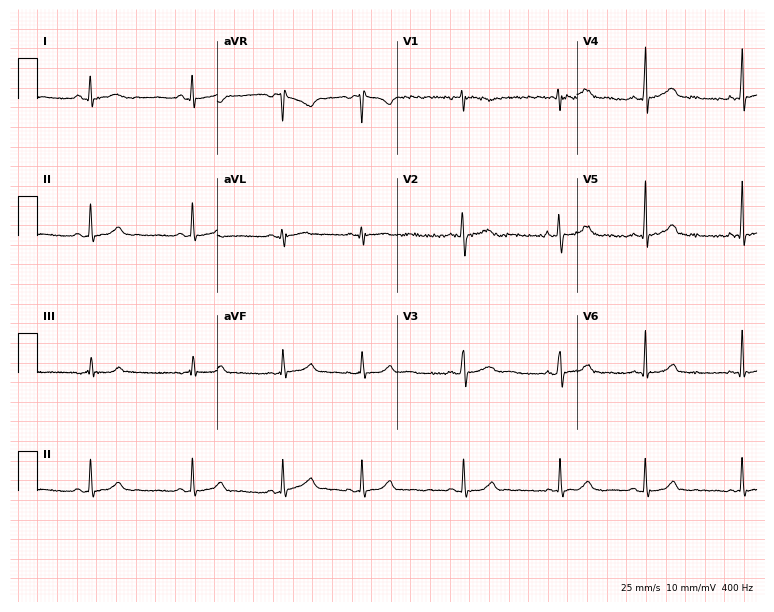
12-lead ECG (7.3-second recording at 400 Hz) from a female, 22 years old. Labelled as a normal ECG.